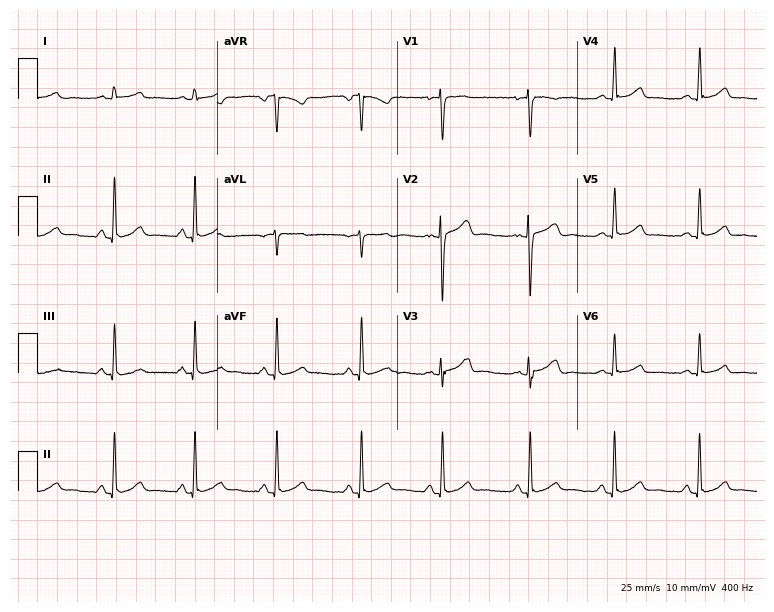
12-lead ECG from a 21-year-old female (7.3-second recording at 400 Hz). No first-degree AV block, right bundle branch block (RBBB), left bundle branch block (LBBB), sinus bradycardia, atrial fibrillation (AF) or sinus tachycardia recorded for this tracing. Findings outside these six are not listed.